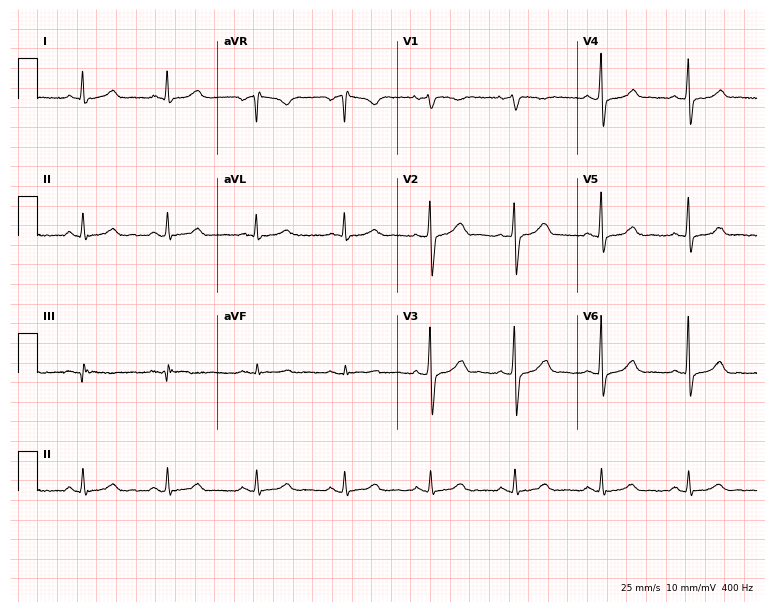
ECG — a female, 54 years old. Labelled as a normal ECG.